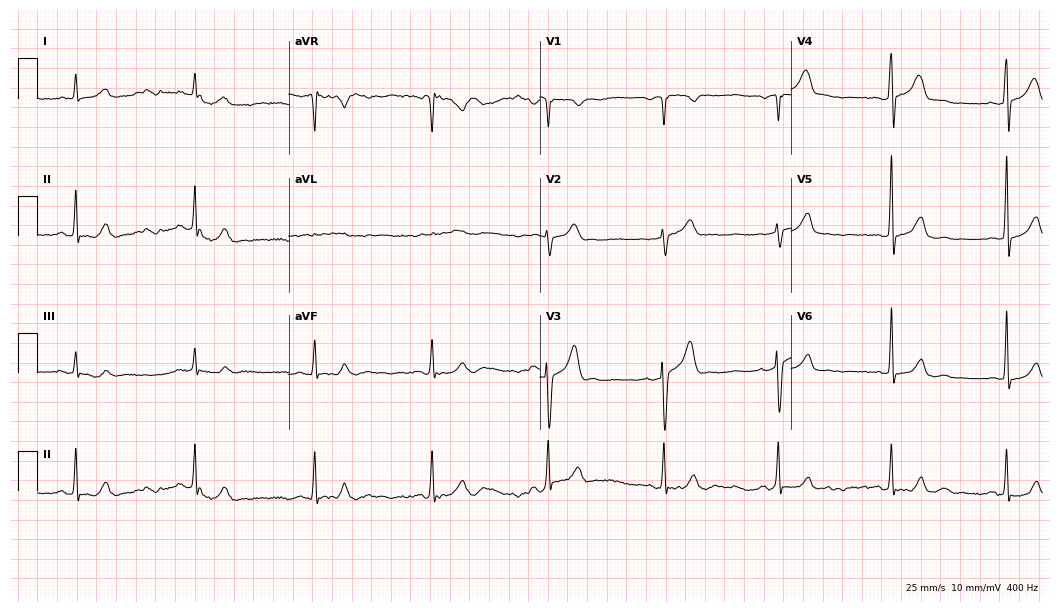
ECG (10.2-second recording at 400 Hz) — a man, 63 years old. Screened for six findings — first-degree AV block, right bundle branch block, left bundle branch block, sinus bradycardia, atrial fibrillation, sinus tachycardia — none is recorded. Only these six findings were labelled.